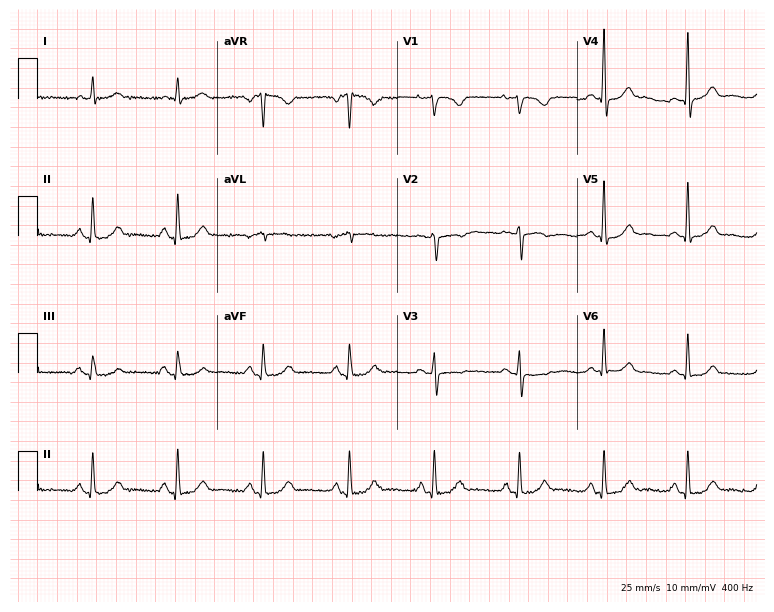
Electrocardiogram (7.3-second recording at 400 Hz), a female, 69 years old. Overall reading on record: normal ECG.